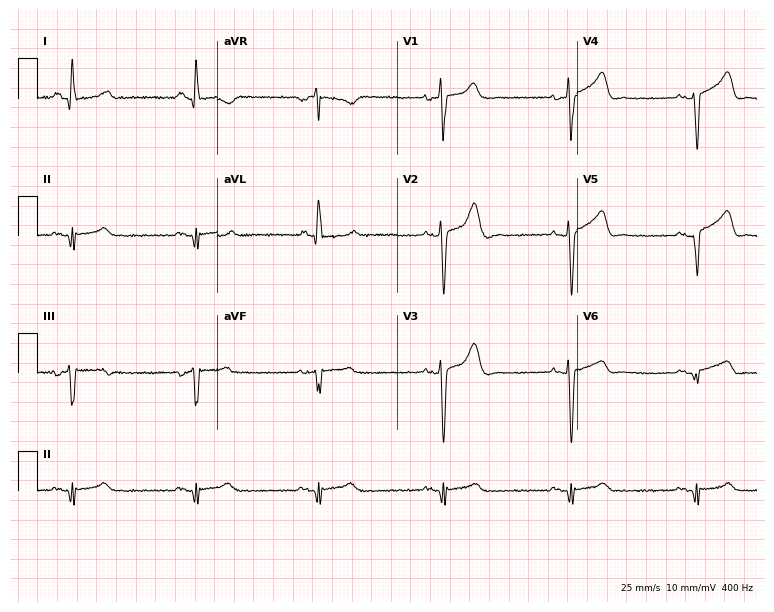
Standard 12-lead ECG recorded from a 63-year-old female. The tracing shows sinus bradycardia (a sinus rate of 50 beats per minute or less).